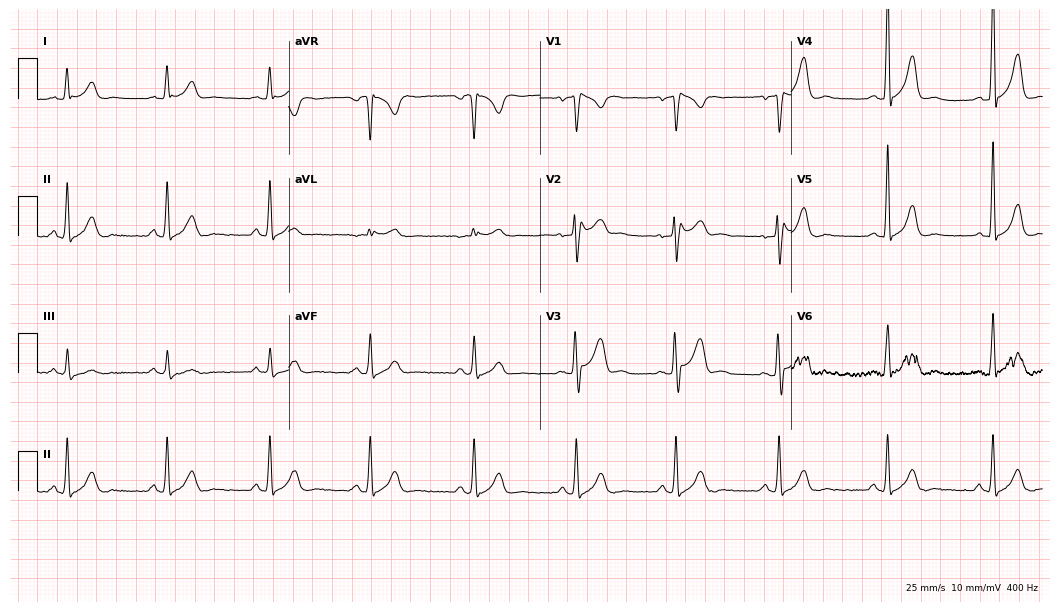
Resting 12-lead electrocardiogram. Patient: a man, 46 years old. Read as a normal ECG.